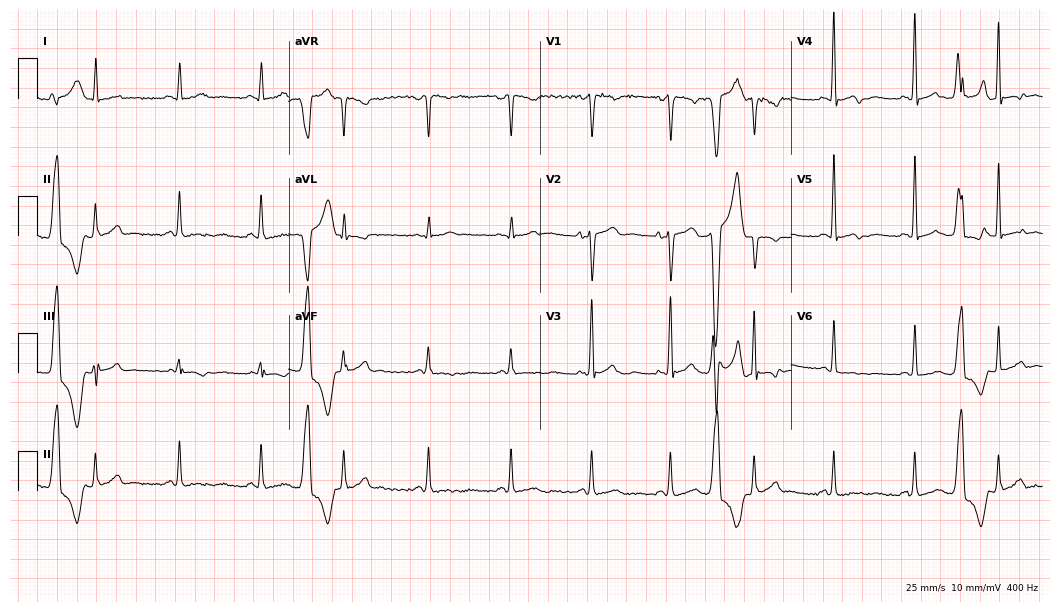
12-lead ECG from a 40-year-old woman (10.2-second recording at 400 Hz). No first-degree AV block, right bundle branch block (RBBB), left bundle branch block (LBBB), sinus bradycardia, atrial fibrillation (AF) or sinus tachycardia recorded for this tracing.